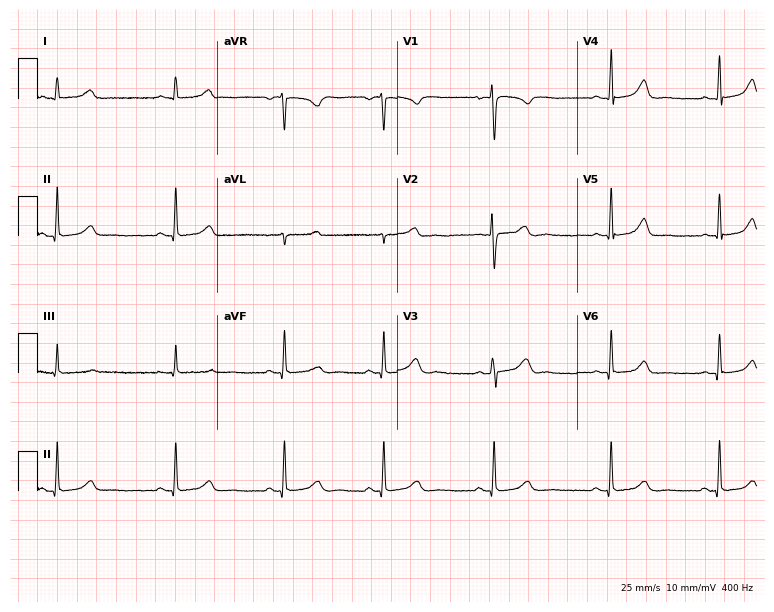
Standard 12-lead ECG recorded from a 37-year-old female (7.3-second recording at 400 Hz). Read as a normal ECG.